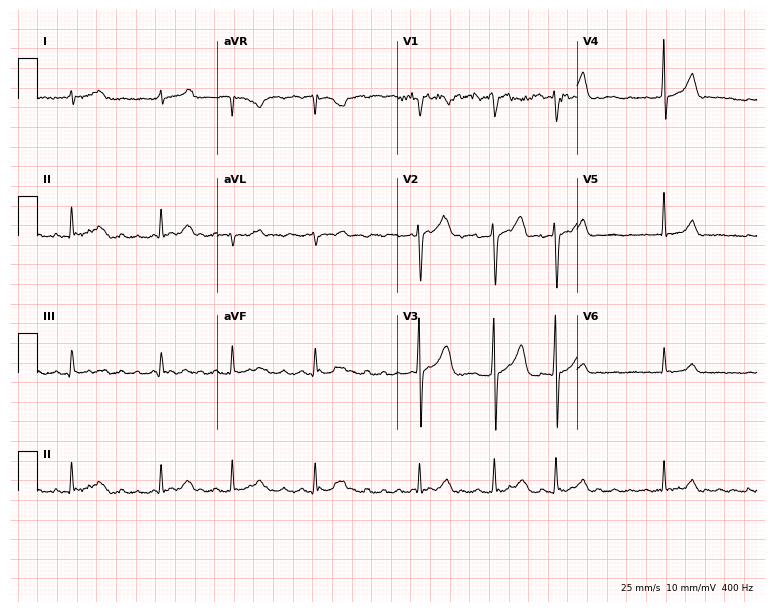
ECG (7.3-second recording at 400 Hz) — a 75-year-old male. Findings include atrial fibrillation.